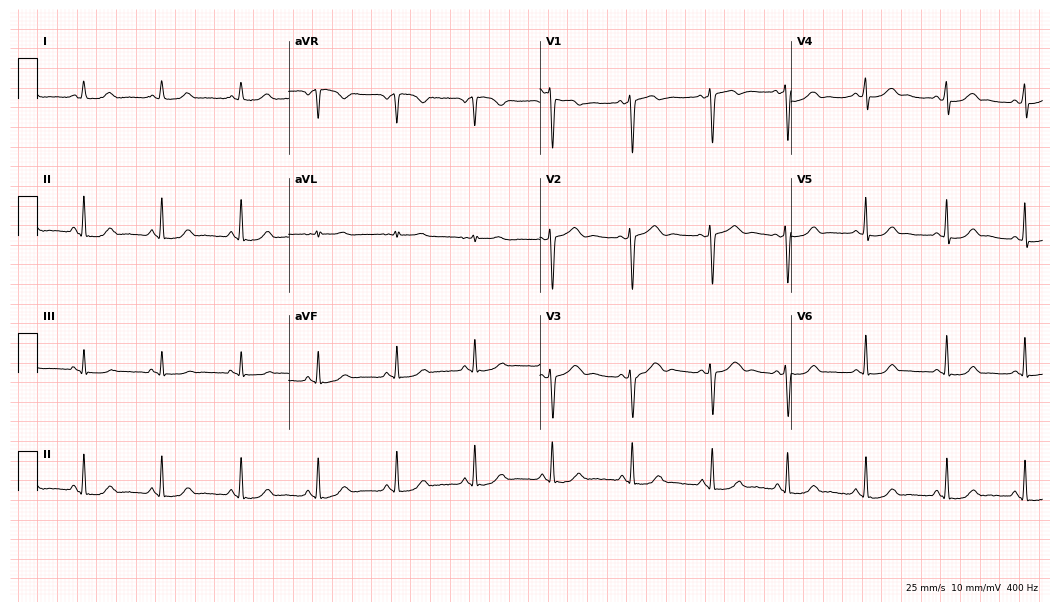
12-lead ECG from a female patient, 21 years old (10.2-second recording at 400 Hz). Recorded interpretation: within normal limits.